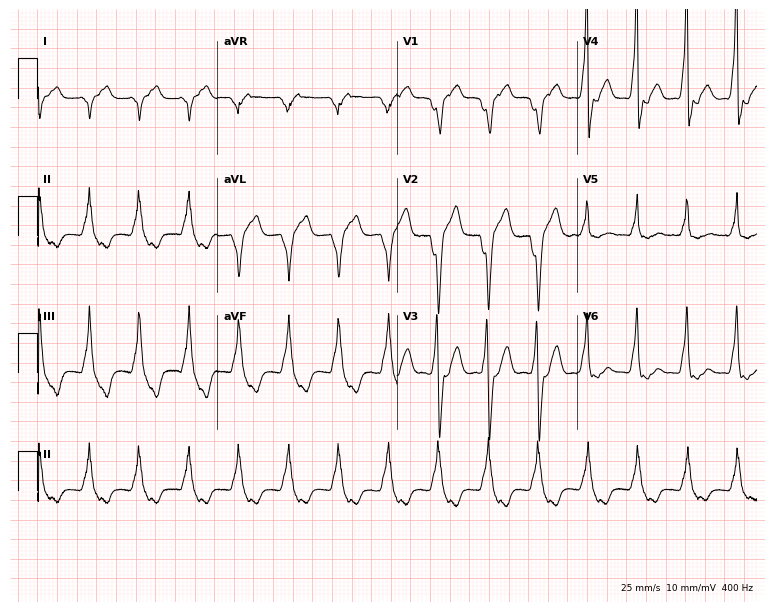
Resting 12-lead electrocardiogram (7.3-second recording at 400 Hz). Patient: a male, 41 years old. The tracing shows left bundle branch block.